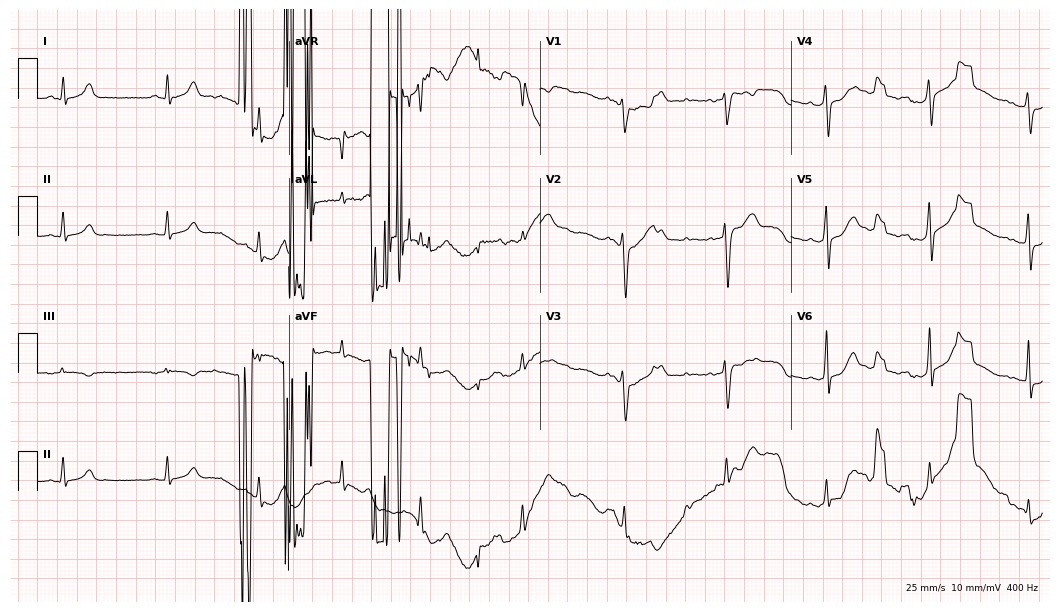
Standard 12-lead ECG recorded from a male patient, 32 years old. None of these six findings is recorded: first-degree AV block, right bundle branch block, left bundle branch block, sinus bradycardia, atrial fibrillation, sinus tachycardia. Only these six findings were labelled.